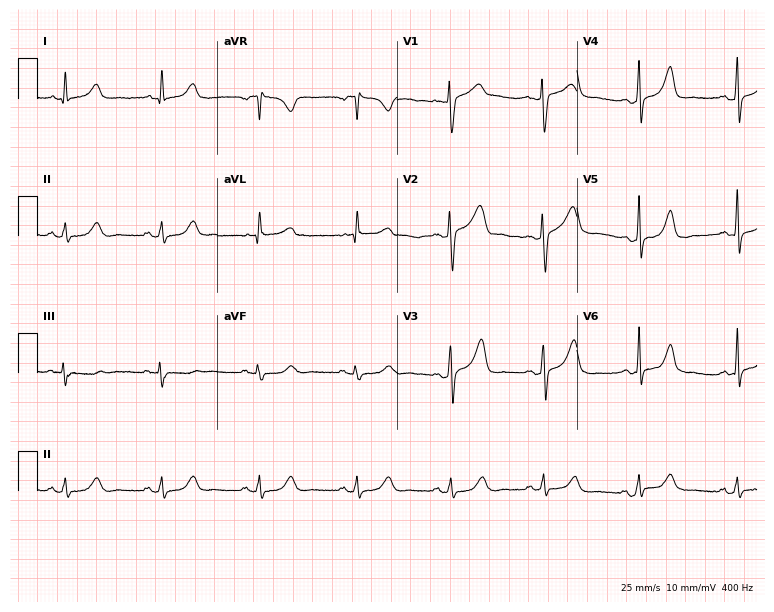
Resting 12-lead electrocardiogram. Patient: a woman, 49 years old. Read as a normal ECG.